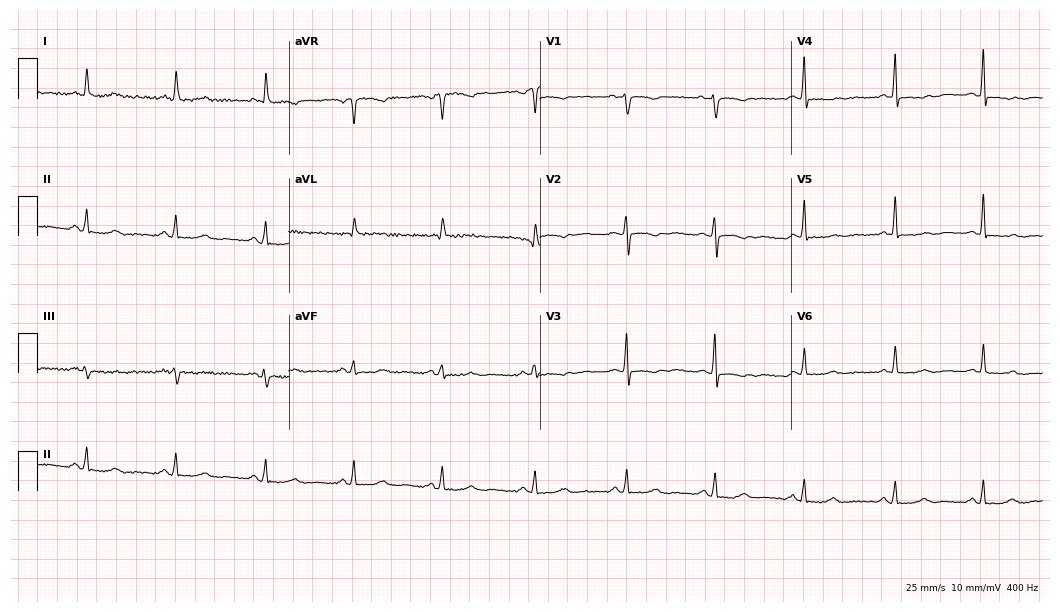
12-lead ECG from a 68-year-old woman. Screened for six findings — first-degree AV block, right bundle branch block, left bundle branch block, sinus bradycardia, atrial fibrillation, sinus tachycardia — none is recorded.